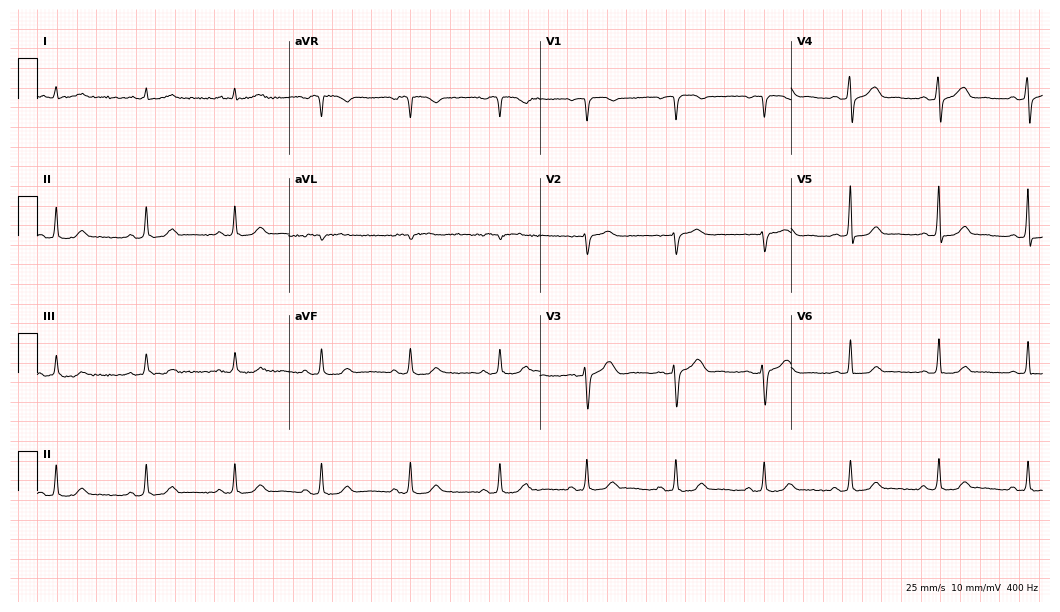
Resting 12-lead electrocardiogram. Patient: a 54-year-old woman. Read as a normal ECG.